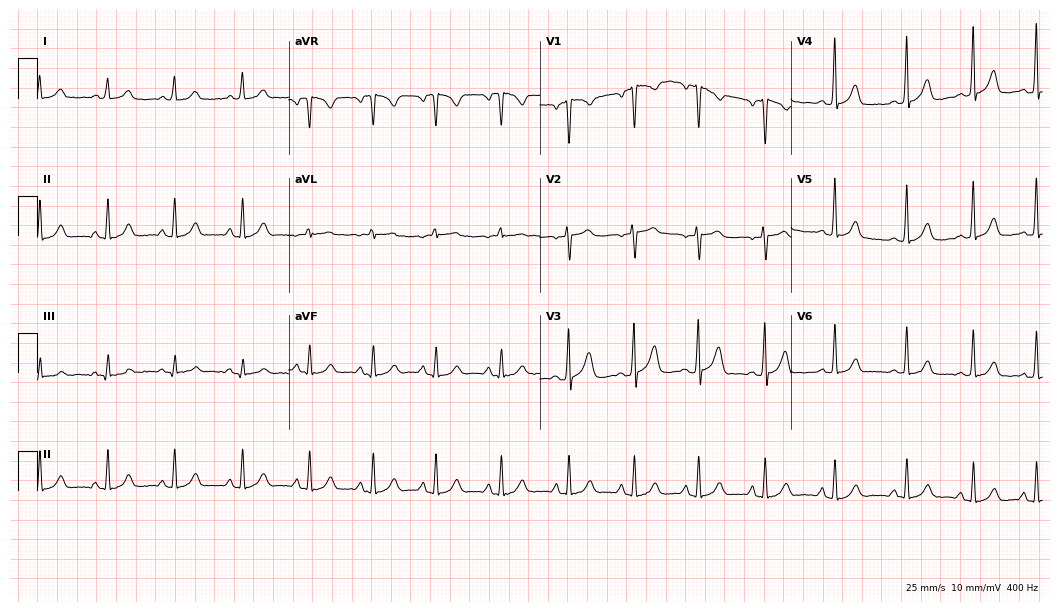
ECG (10.2-second recording at 400 Hz) — a female, 40 years old. Labelled as a normal ECG.